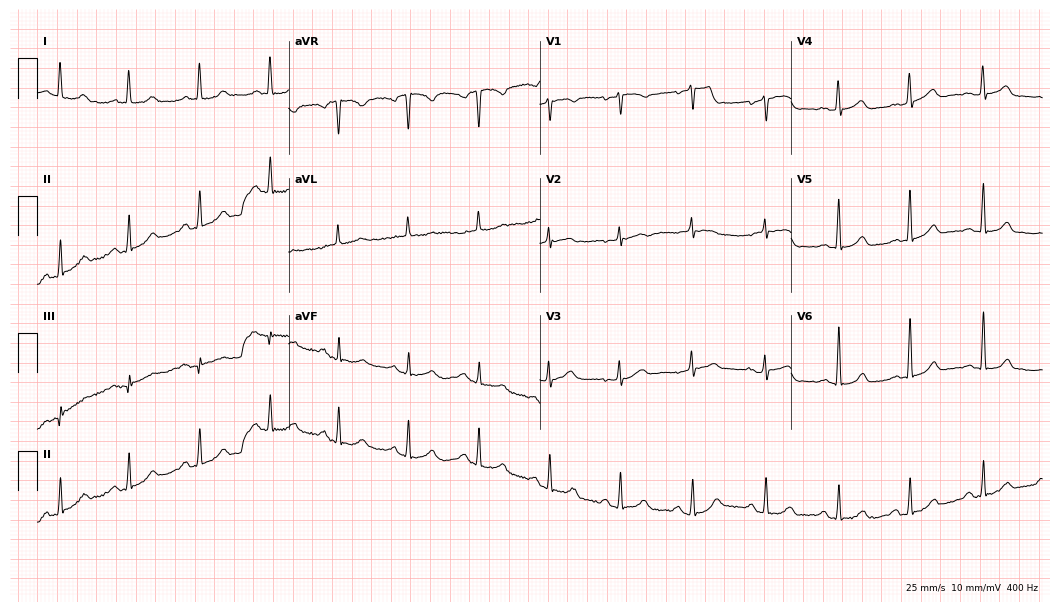
Electrocardiogram (10.2-second recording at 400 Hz), a 65-year-old female patient. Overall reading on record: normal ECG.